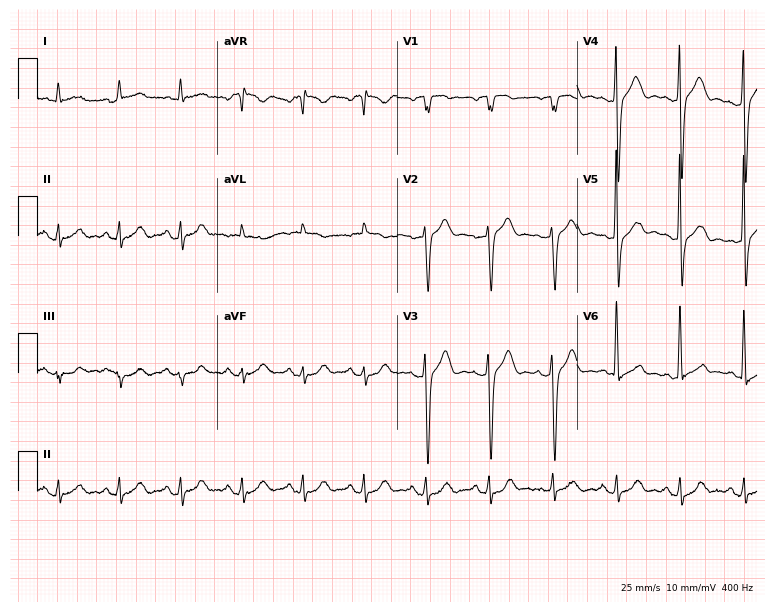
Resting 12-lead electrocardiogram (7.3-second recording at 400 Hz). Patient: a 69-year-old male. None of these six findings is recorded: first-degree AV block, right bundle branch block (RBBB), left bundle branch block (LBBB), sinus bradycardia, atrial fibrillation (AF), sinus tachycardia. Other findings, if any, are not listed.